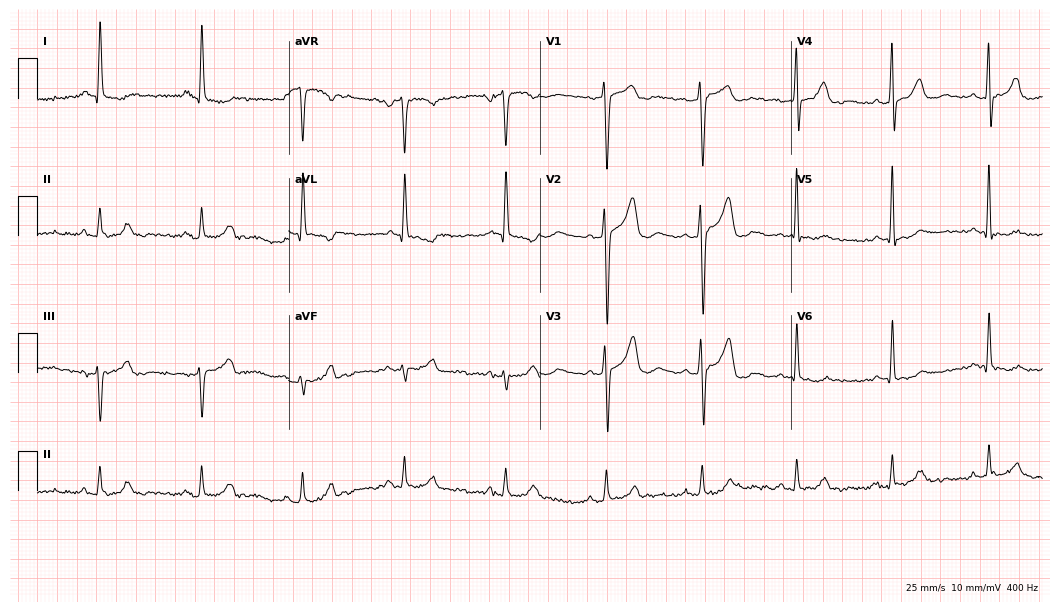
Standard 12-lead ECG recorded from a male patient, 73 years old. None of these six findings is recorded: first-degree AV block, right bundle branch block, left bundle branch block, sinus bradycardia, atrial fibrillation, sinus tachycardia. Other findings, if any, are not listed.